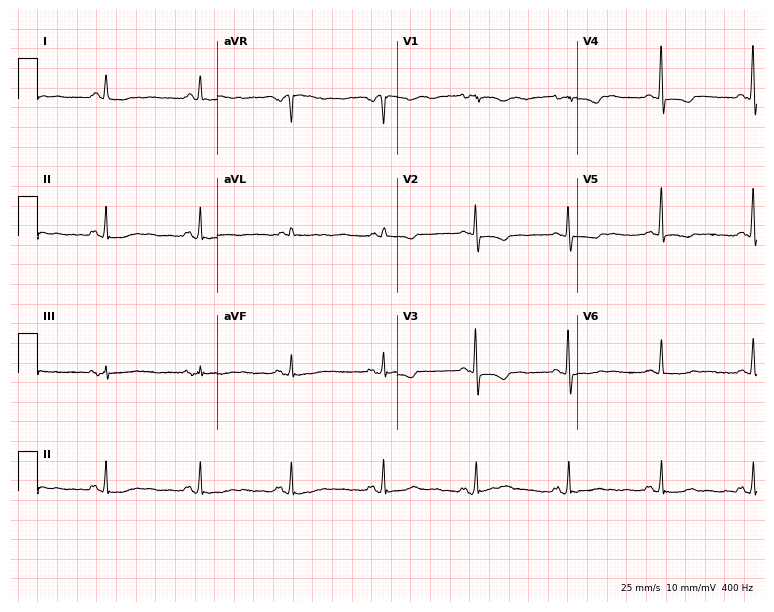
12-lead ECG from a woman, 62 years old. Screened for six findings — first-degree AV block, right bundle branch block, left bundle branch block, sinus bradycardia, atrial fibrillation, sinus tachycardia — none is recorded. Other findings, if any, are not listed.